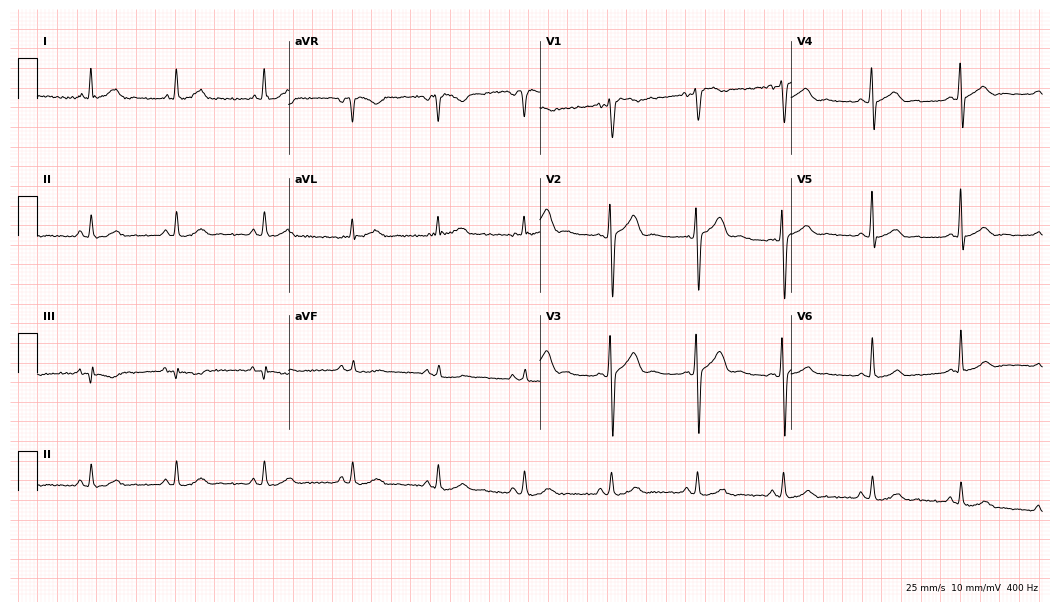
Resting 12-lead electrocardiogram (10.2-second recording at 400 Hz). Patient: a 40-year-old man. None of these six findings is recorded: first-degree AV block, right bundle branch block, left bundle branch block, sinus bradycardia, atrial fibrillation, sinus tachycardia.